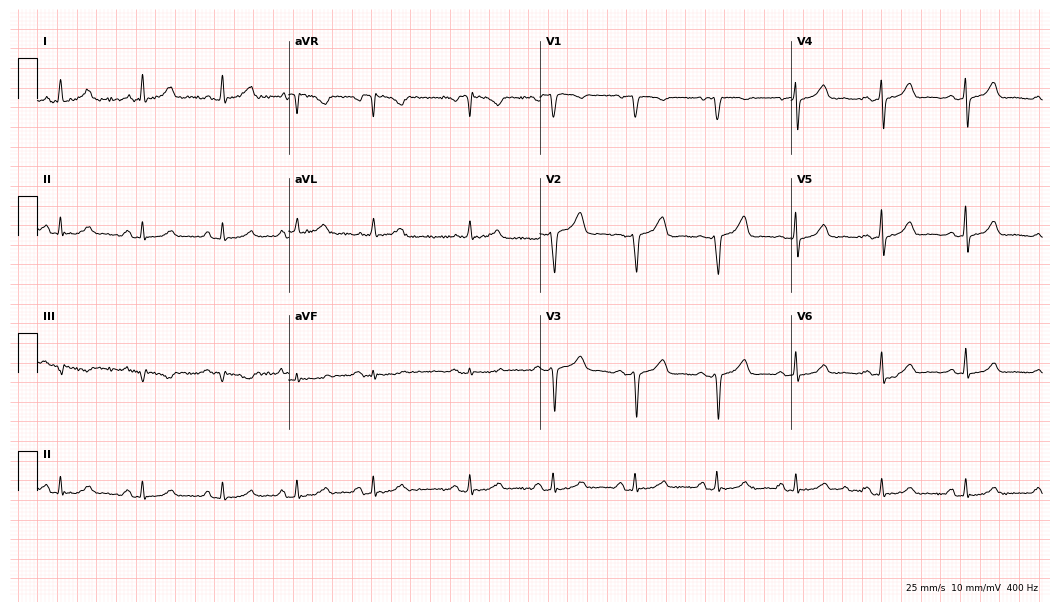
12-lead ECG from a female, 49 years old (10.2-second recording at 400 Hz). Recorded interpretation: within normal limits.